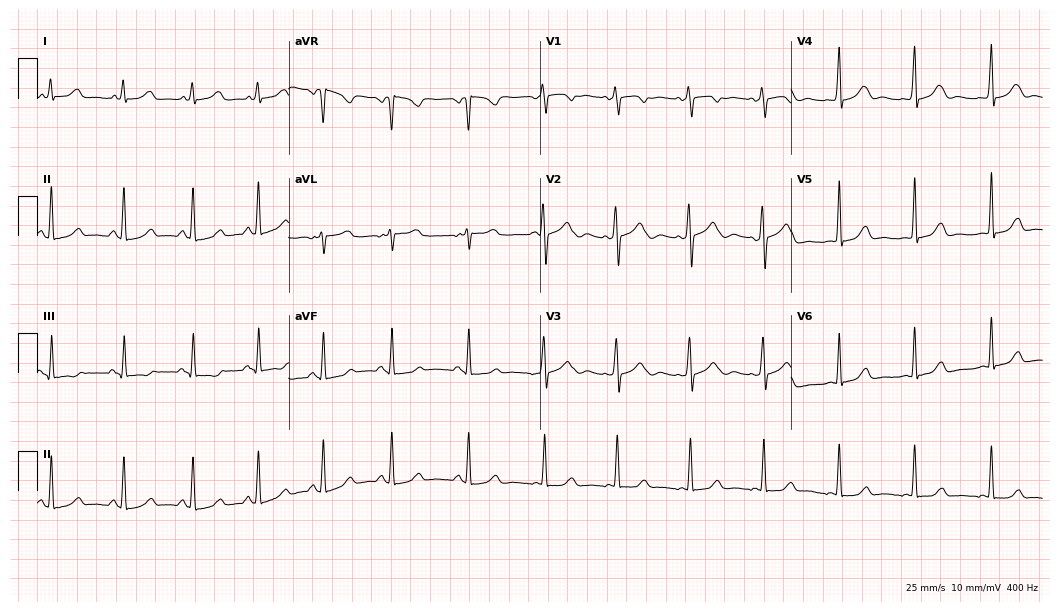
ECG (10.2-second recording at 400 Hz) — a female, 32 years old. Labelled as a normal ECG.